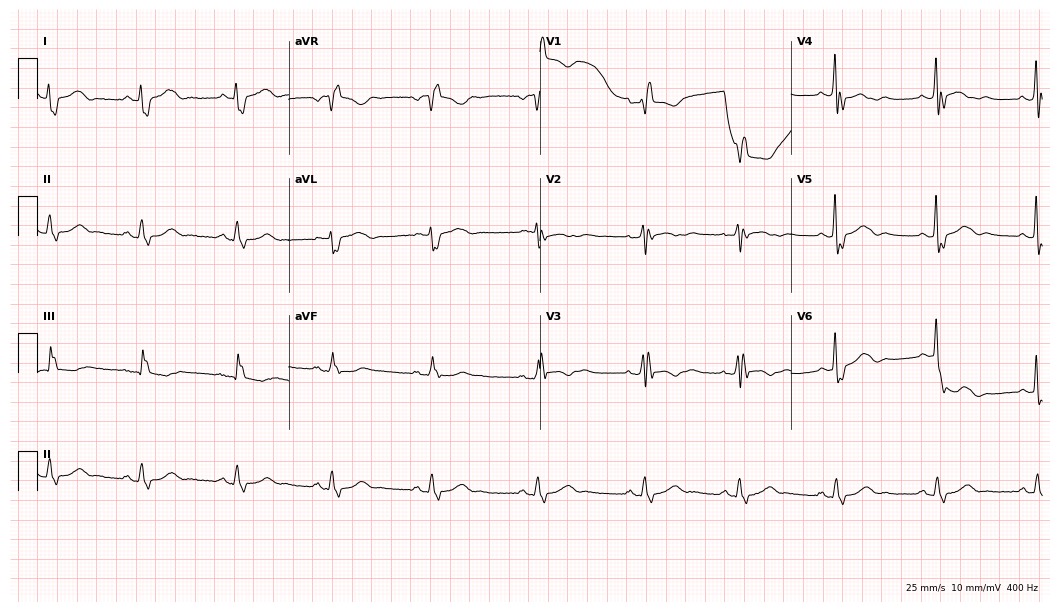
12-lead ECG from a female, 64 years old. Shows right bundle branch block.